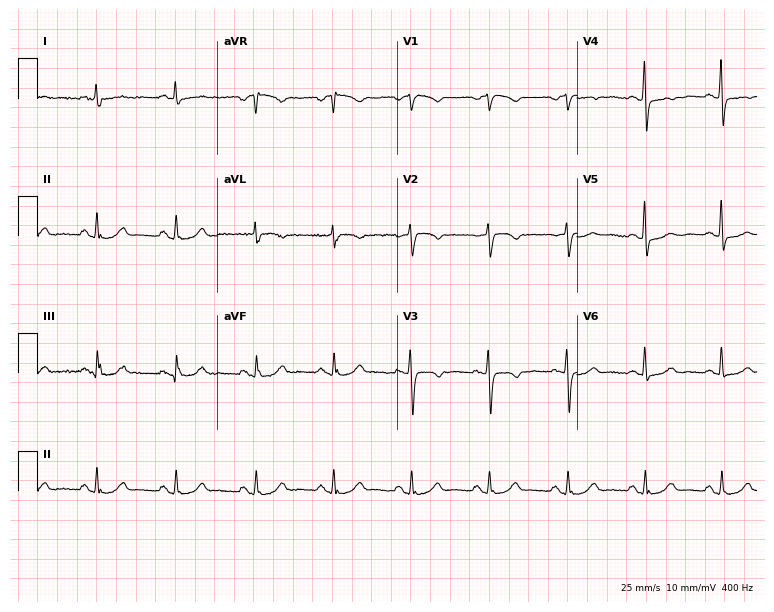
Standard 12-lead ECG recorded from a female patient, 62 years old. None of these six findings is recorded: first-degree AV block, right bundle branch block, left bundle branch block, sinus bradycardia, atrial fibrillation, sinus tachycardia. Findings outside these six are not listed.